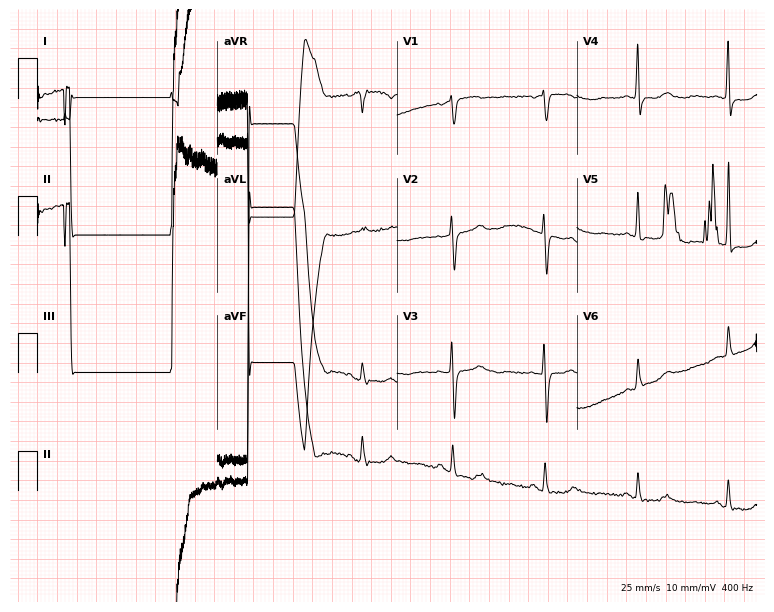
ECG — a woman, 84 years old. Screened for six findings — first-degree AV block, right bundle branch block (RBBB), left bundle branch block (LBBB), sinus bradycardia, atrial fibrillation (AF), sinus tachycardia — none is recorded.